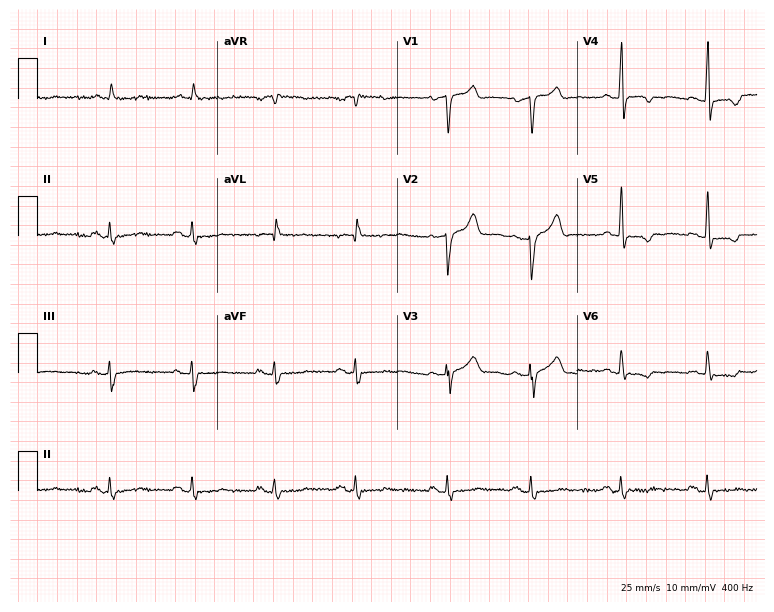
Resting 12-lead electrocardiogram (7.3-second recording at 400 Hz). Patient: a 64-year-old male. None of these six findings is recorded: first-degree AV block, right bundle branch block, left bundle branch block, sinus bradycardia, atrial fibrillation, sinus tachycardia. Findings outside these six are not listed.